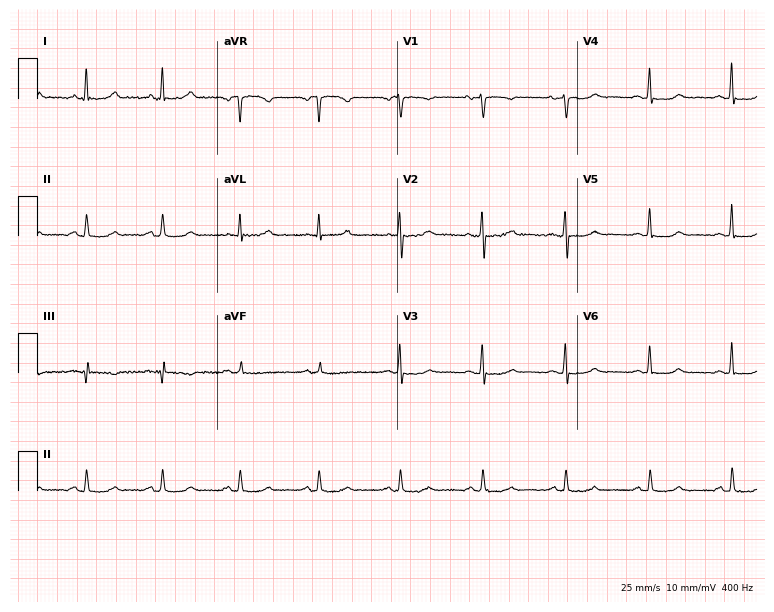
ECG — a female patient, 46 years old. Labelled as a normal ECG.